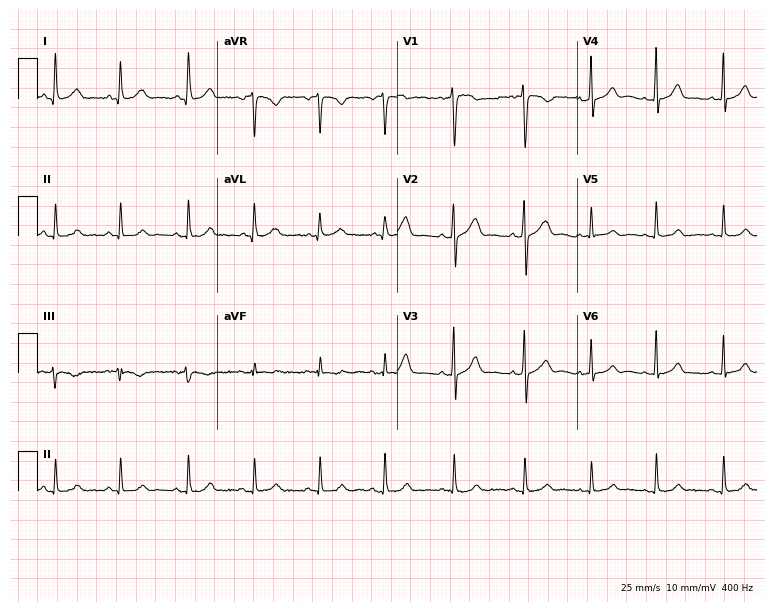
12-lead ECG from a woman, 28 years old (7.3-second recording at 400 Hz). Recorded interpretation: within normal limits.